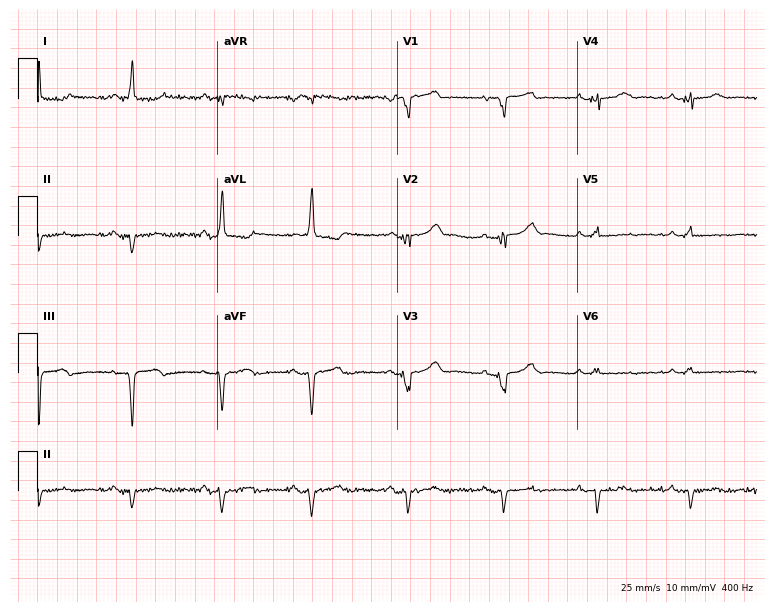
12-lead ECG (7.3-second recording at 400 Hz) from a female patient, 57 years old. Screened for six findings — first-degree AV block, right bundle branch block, left bundle branch block, sinus bradycardia, atrial fibrillation, sinus tachycardia — none is recorded. Only these six findings were labelled.